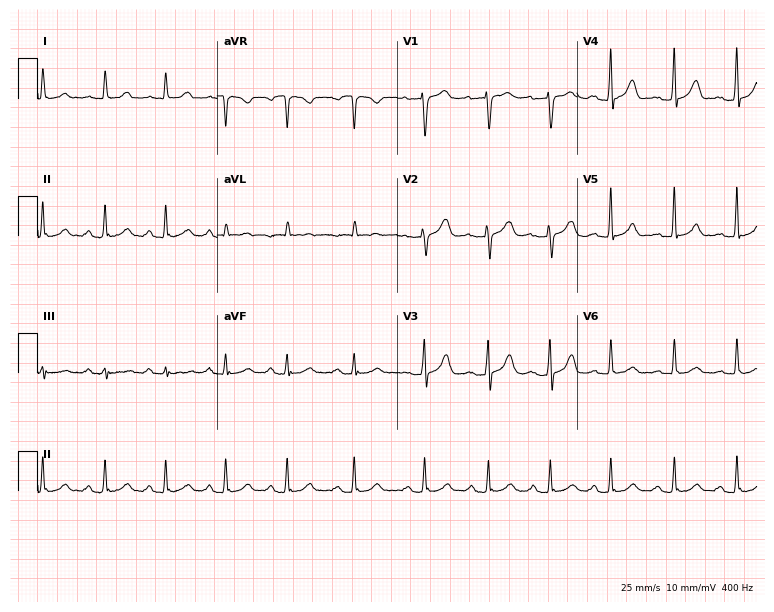
Electrocardiogram (7.3-second recording at 400 Hz), a 52-year-old female patient. Overall reading on record: normal ECG.